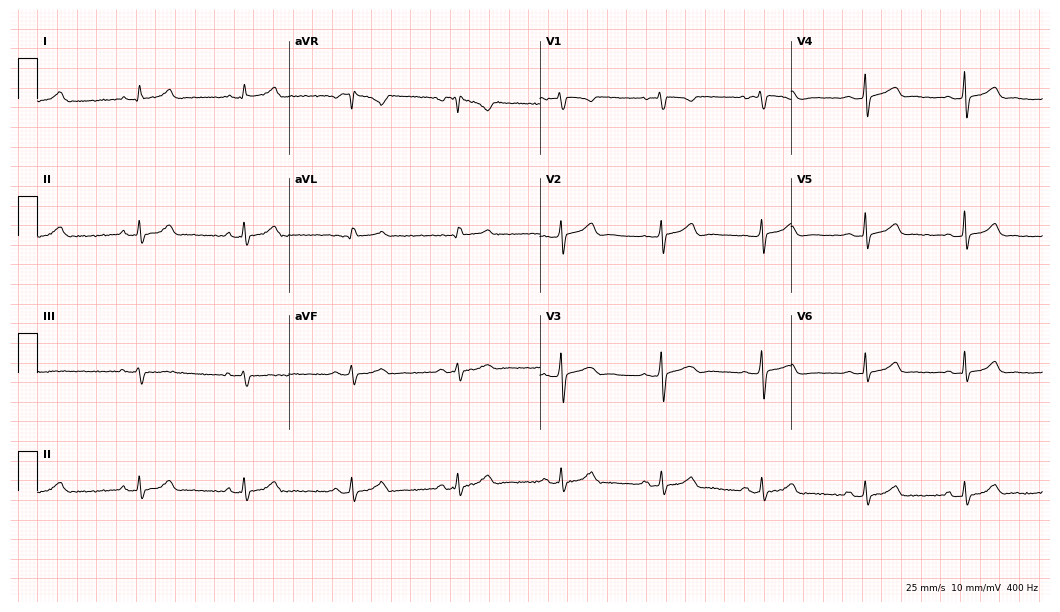
12-lead ECG from a female patient, 41 years old. Recorded interpretation: within normal limits.